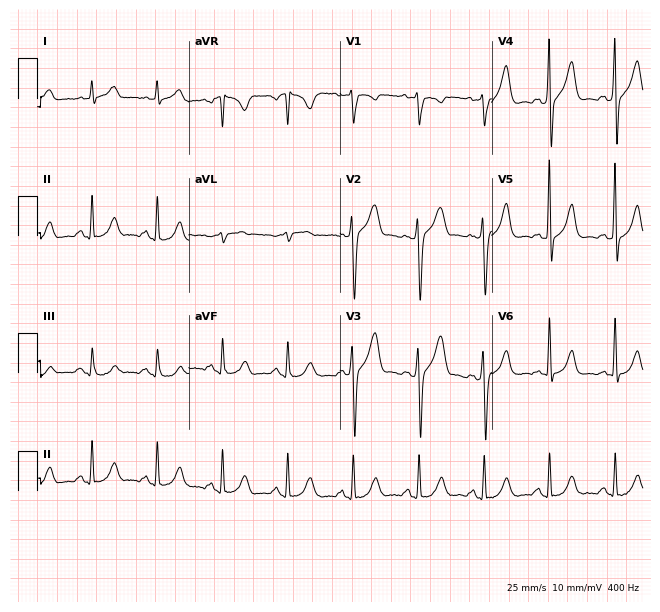
Resting 12-lead electrocardiogram. Patient: a male, 70 years old. None of these six findings is recorded: first-degree AV block, right bundle branch block (RBBB), left bundle branch block (LBBB), sinus bradycardia, atrial fibrillation (AF), sinus tachycardia. Findings outside these six are not listed.